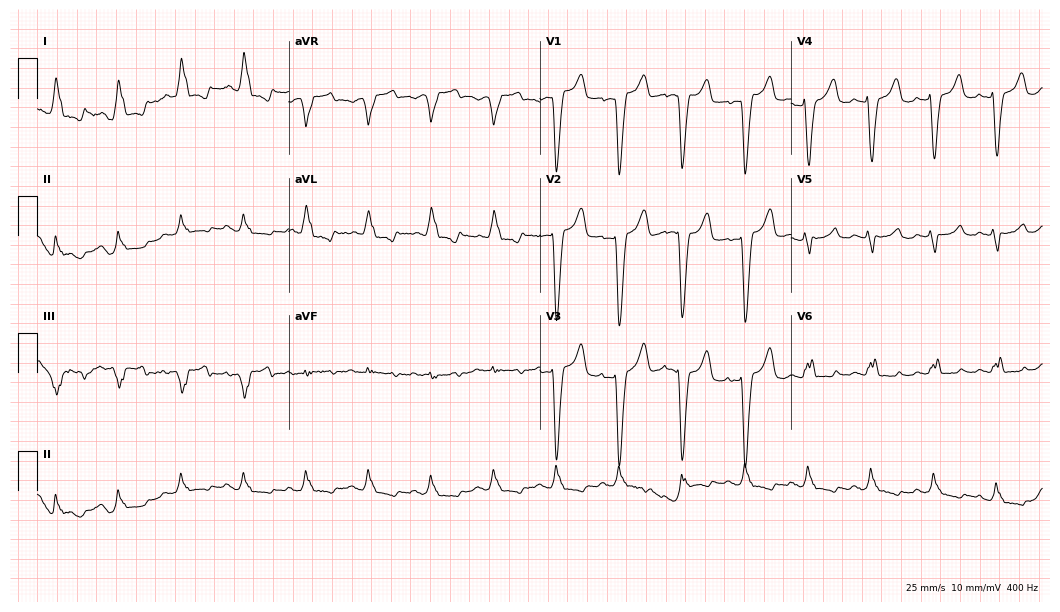
Resting 12-lead electrocardiogram. Patient: a 62-year-old woman. The tracing shows left bundle branch block.